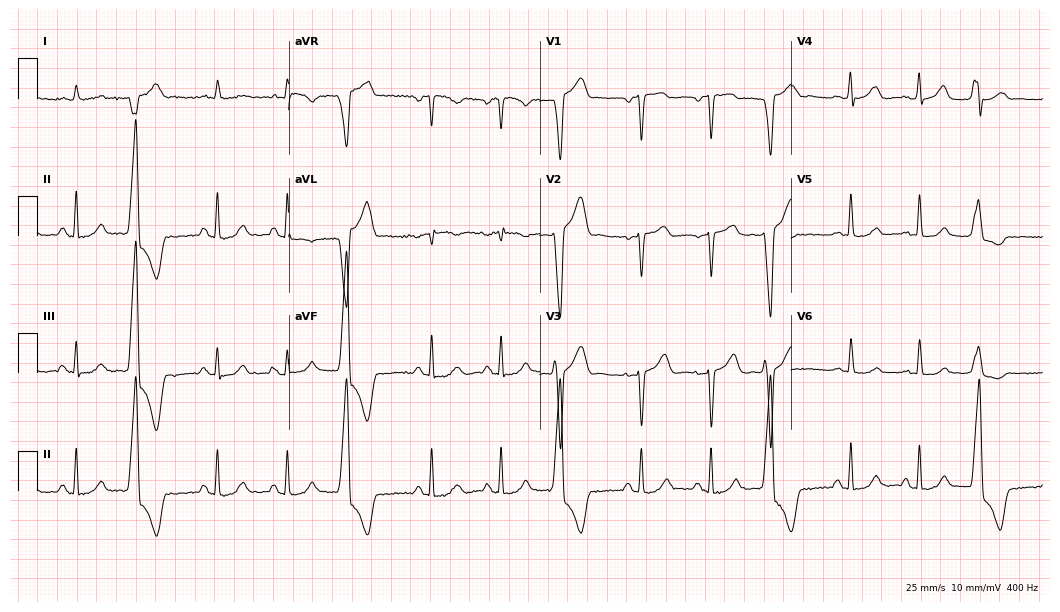
12-lead ECG from a female patient, 68 years old. No first-degree AV block, right bundle branch block (RBBB), left bundle branch block (LBBB), sinus bradycardia, atrial fibrillation (AF) or sinus tachycardia recorded for this tracing. Only these six findings were labelled.